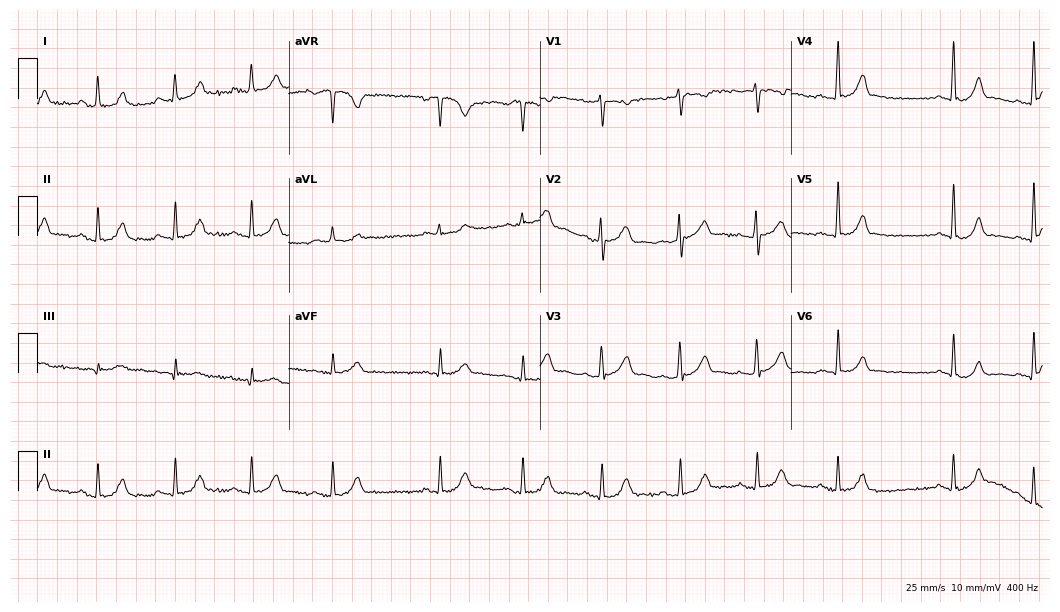
ECG — a 34-year-old woman. Labelled as a normal ECG.